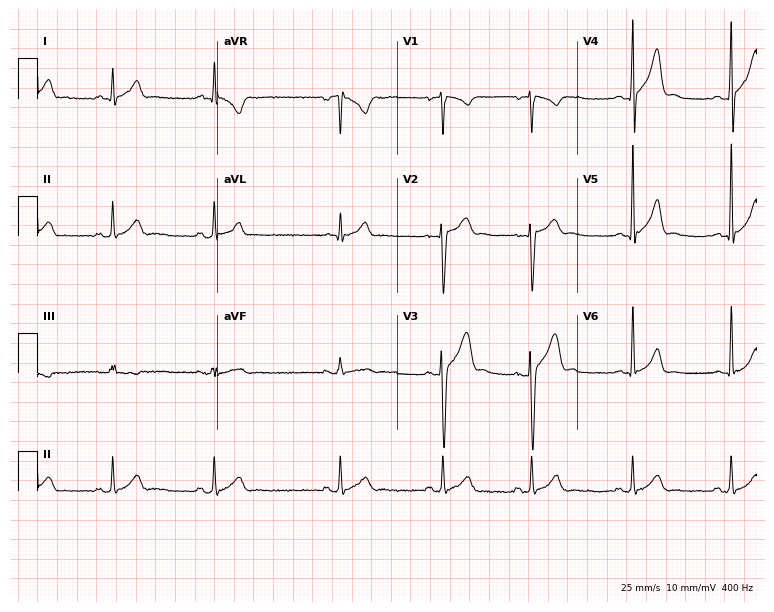
12-lead ECG from a 25-year-old man. Labelled as a normal ECG.